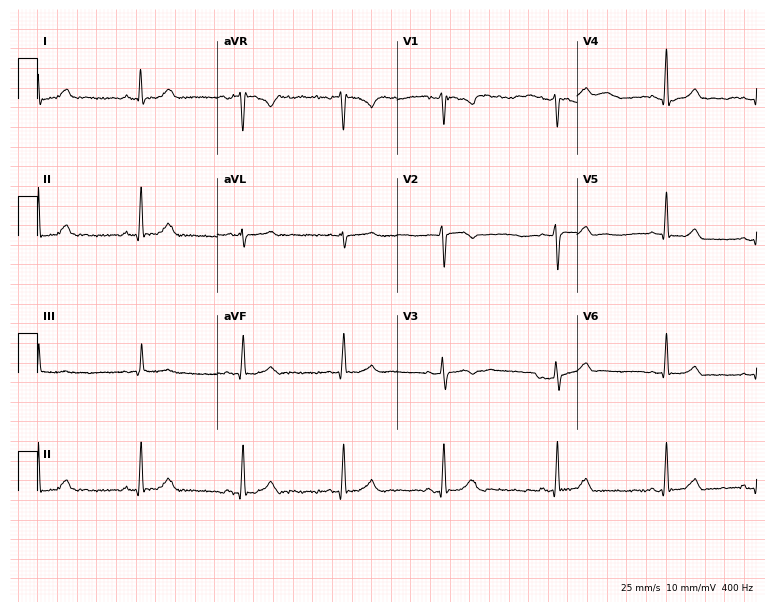
12-lead ECG from a 48-year-old female. Labelled as a normal ECG.